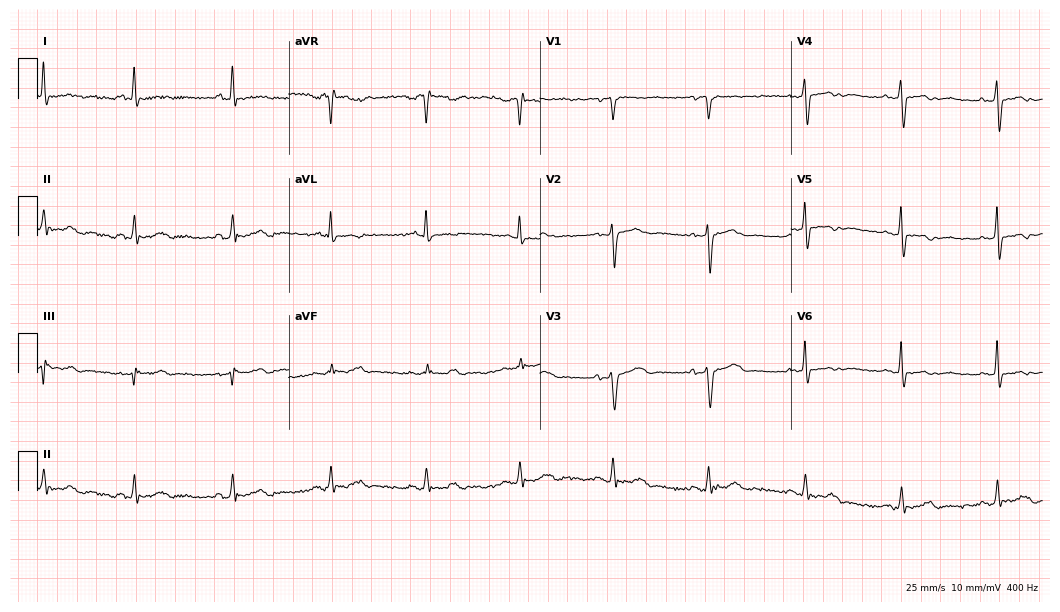
Electrocardiogram, a woman, 48 years old. Of the six screened findings (first-degree AV block, right bundle branch block, left bundle branch block, sinus bradycardia, atrial fibrillation, sinus tachycardia), none is recorded. Only these six findings were labelled.